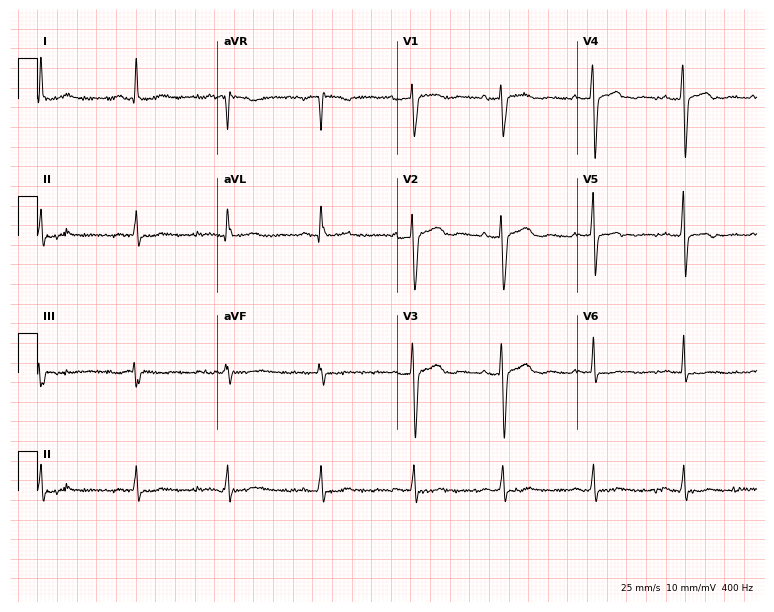
Electrocardiogram (7.3-second recording at 400 Hz), a 50-year-old female. Of the six screened findings (first-degree AV block, right bundle branch block (RBBB), left bundle branch block (LBBB), sinus bradycardia, atrial fibrillation (AF), sinus tachycardia), none is recorded. Other findings, if any, are not listed.